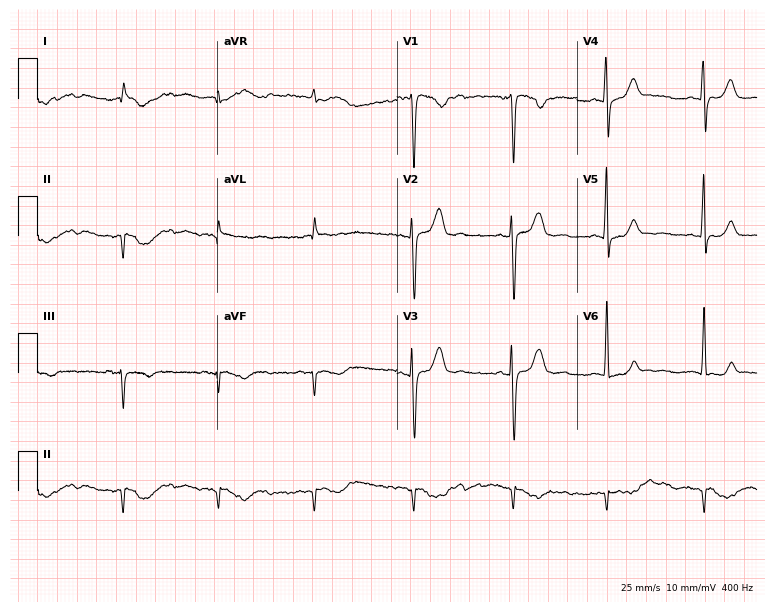
12-lead ECG from a female patient, 47 years old. Screened for six findings — first-degree AV block, right bundle branch block, left bundle branch block, sinus bradycardia, atrial fibrillation, sinus tachycardia — none is recorded. Findings outside these six are not listed.